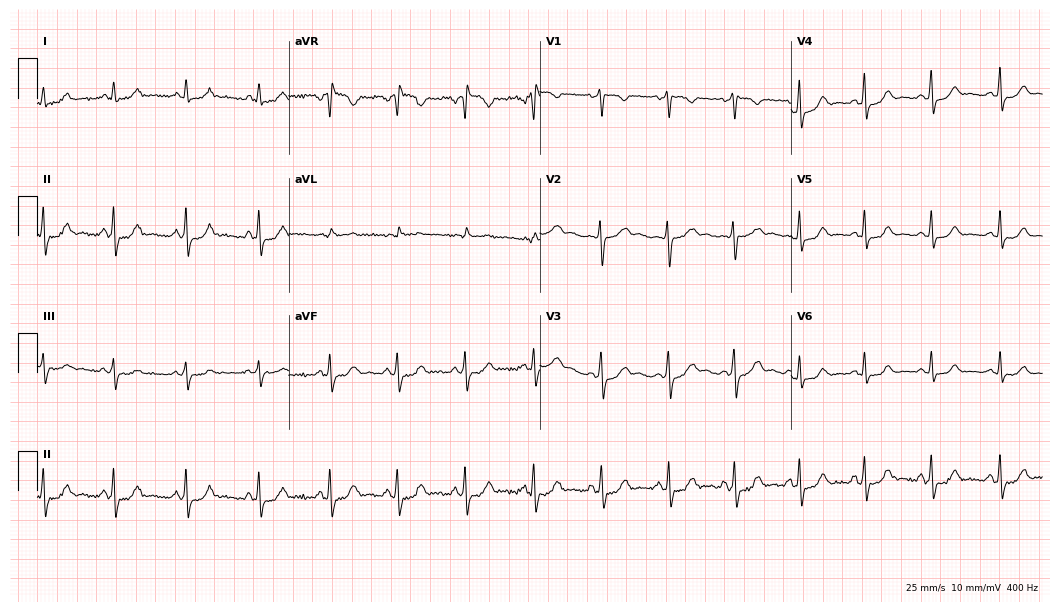
12-lead ECG from a 25-year-old female. Screened for six findings — first-degree AV block, right bundle branch block, left bundle branch block, sinus bradycardia, atrial fibrillation, sinus tachycardia — none is recorded.